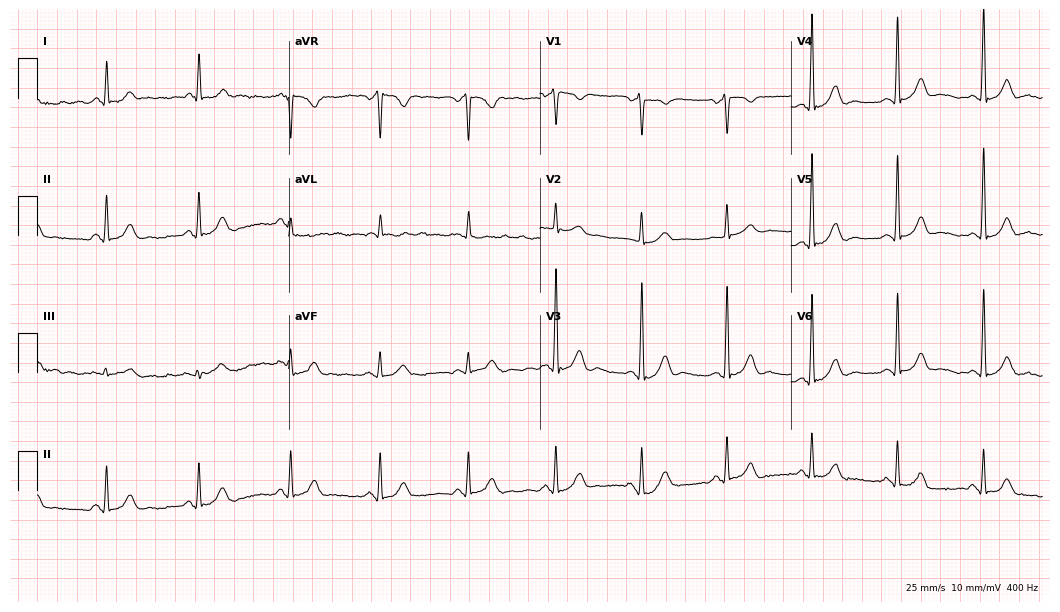
12-lead ECG from a male patient, 77 years old. Recorded interpretation: within normal limits.